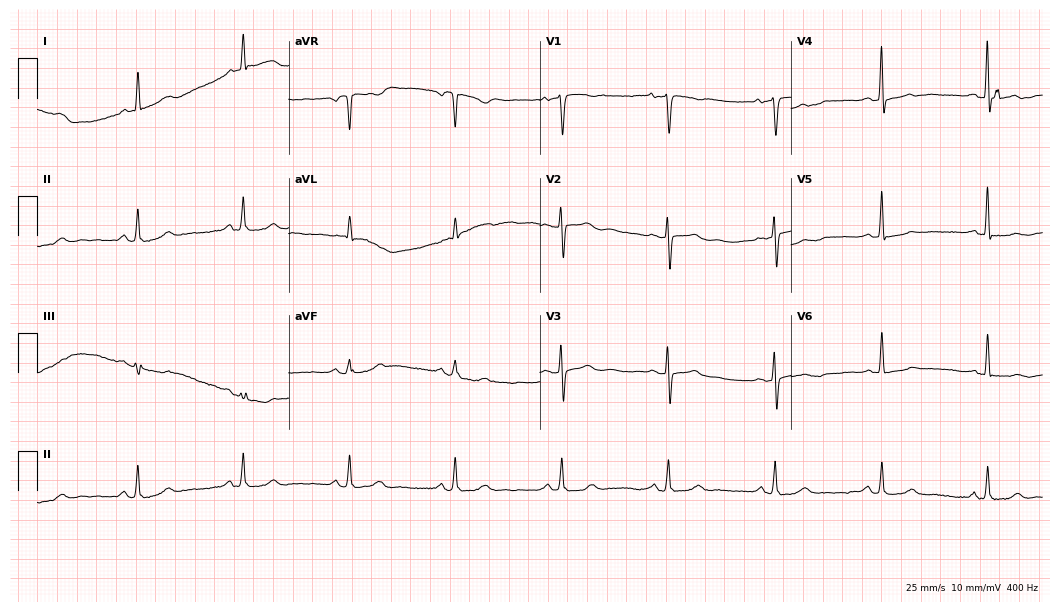
Standard 12-lead ECG recorded from a 64-year-old woman (10.2-second recording at 400 Hz). None of these six findings is recorded: first-degree AV block, right bundle branch block, left bundle branch block, sinus bradycardia, atrial fibrillation, sinus tachycardia. Findings outside these six are not listed.